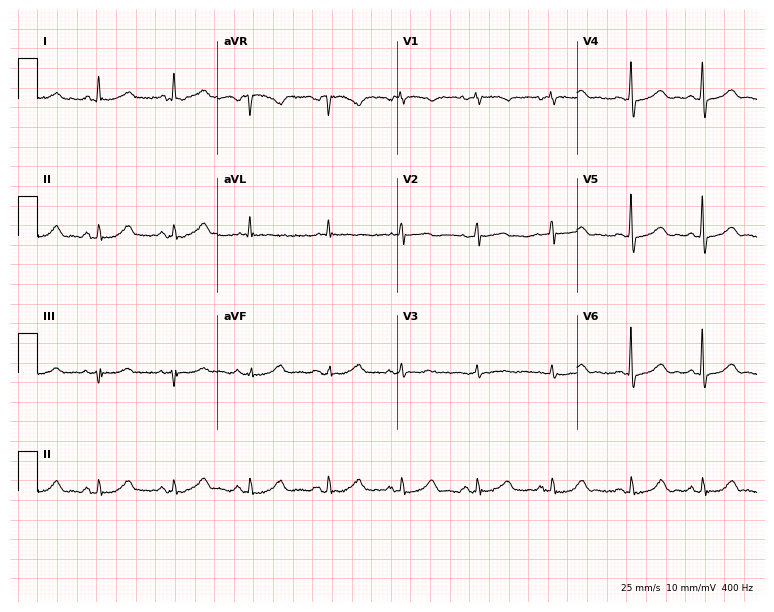
12-lead ECG from an 81-year-old woman (7.3-second recording at 400 Hz). Recorded interpretation: within normal limits.